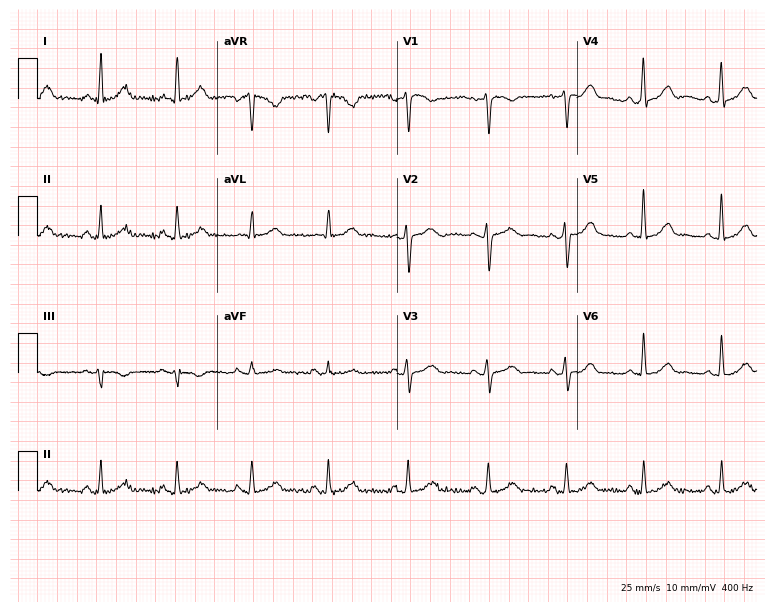
Electrocardiogram, a 55-year-old woman. Overall reading on record: normal ECG.